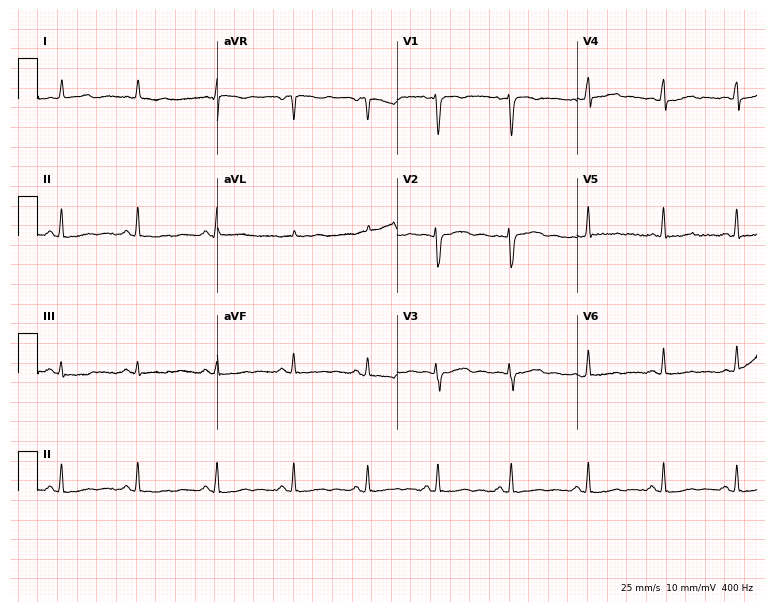
Resting 12-lead electrocardiogram. Patient: a female, 32 years old. None of these six findings is recorded: first-degree AV block, right bundle branch block, left bundle branch block, sinus bradycardia, atrial fibrillation, sinus tachycardia.